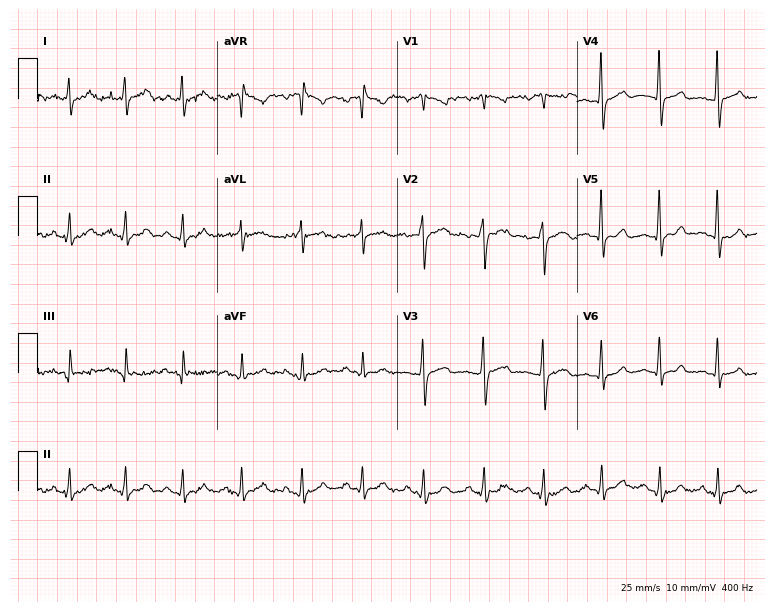
Standard 12-lead ECG recorded from a 44-year-old male patient. The tracing shows sinus tachycardia (a sinus rate of 100 beats per minute or more).